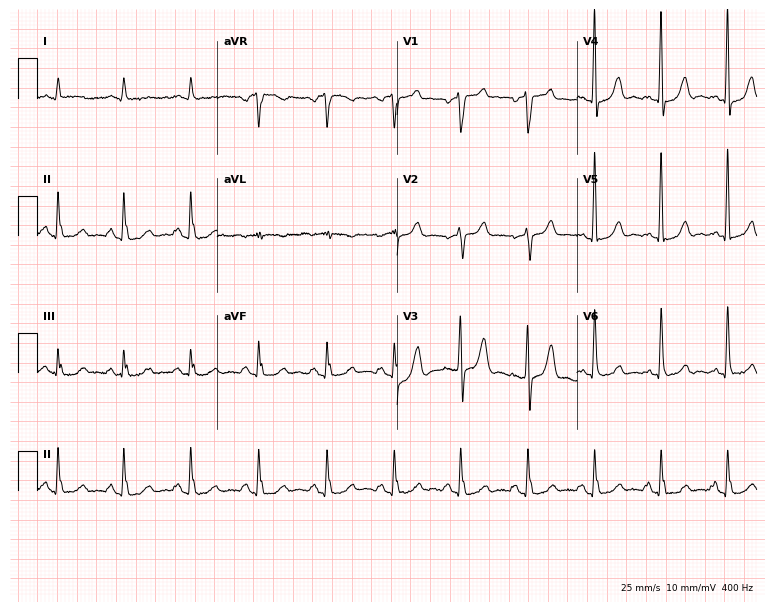
ECG — a 79-year-old male. Labelled as a normal ECG.